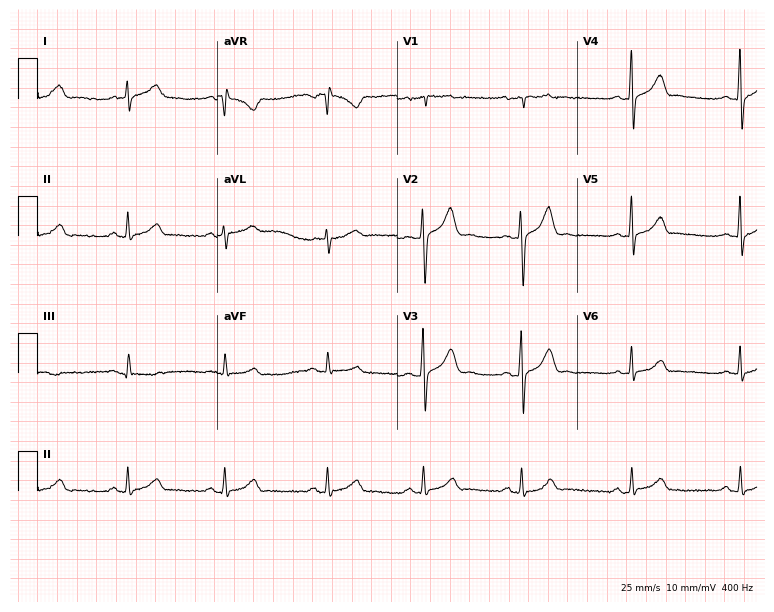
12-lead ECG from a male patient, 50 years old. No first-degree AV block, right bundle branch block (RBBB), left bundle branch block (LBBB), sinus bradycardia, atrial fibrillation (AF) or sinus tachycardia recorded for this tracing.